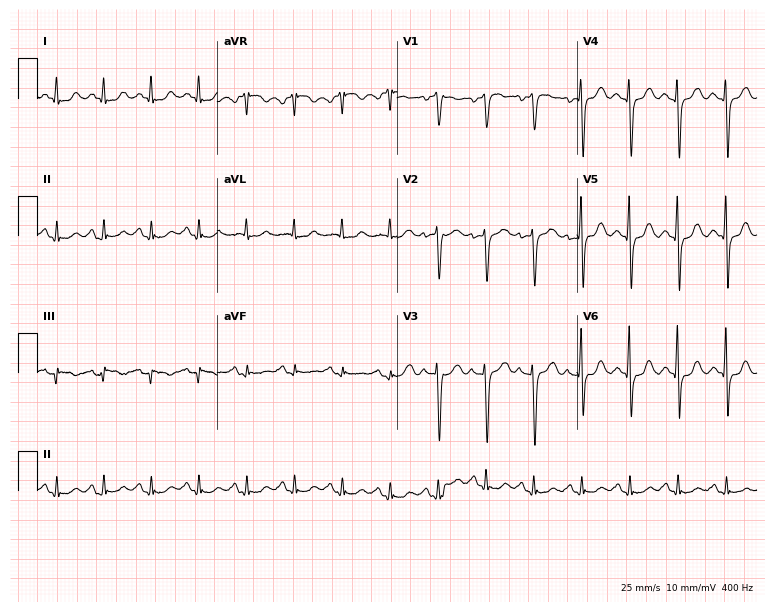
ECG (7.3-second recording at 400 Hz) — a 48-year-old woman. Findings include sinus tachycardia (a sinus rate of 100 beats per minute or more).